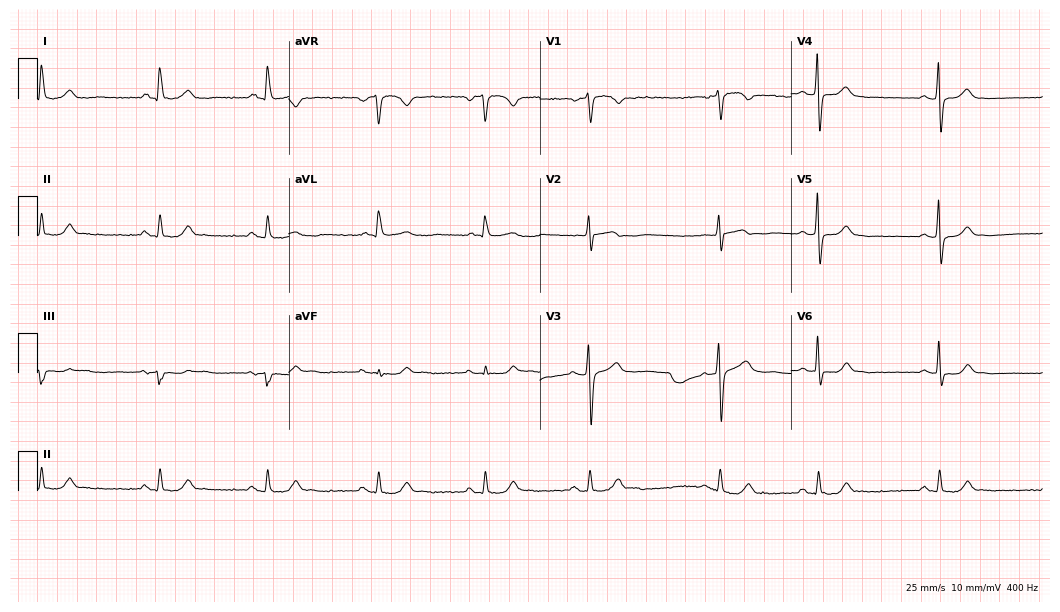
12-lead ECG from a female, 64 years old (10.2-second recording at 400 Hz). Recorded interpretation: within normal limits.